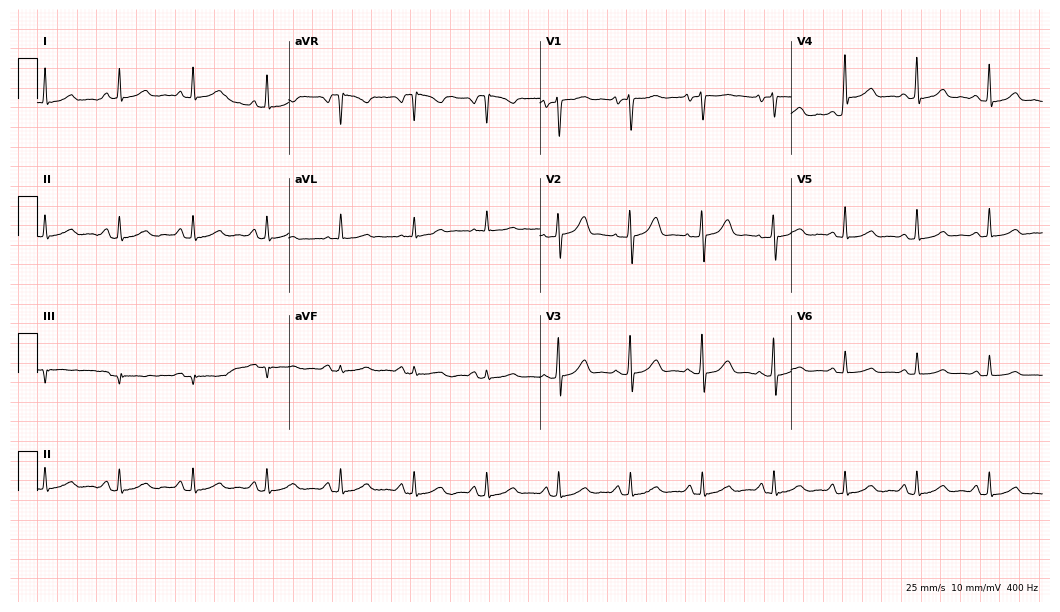
Electrocardiogram (10.2-second recording at 400 Hz), a 66-year-old woman. Of the six screened findings (first-degree AV block, right bundle branch block, left bundle branch block, sinus bradycardia, atrial fibrillation, sinus tachycardia), none is recorded. Only these six findings were labelled.